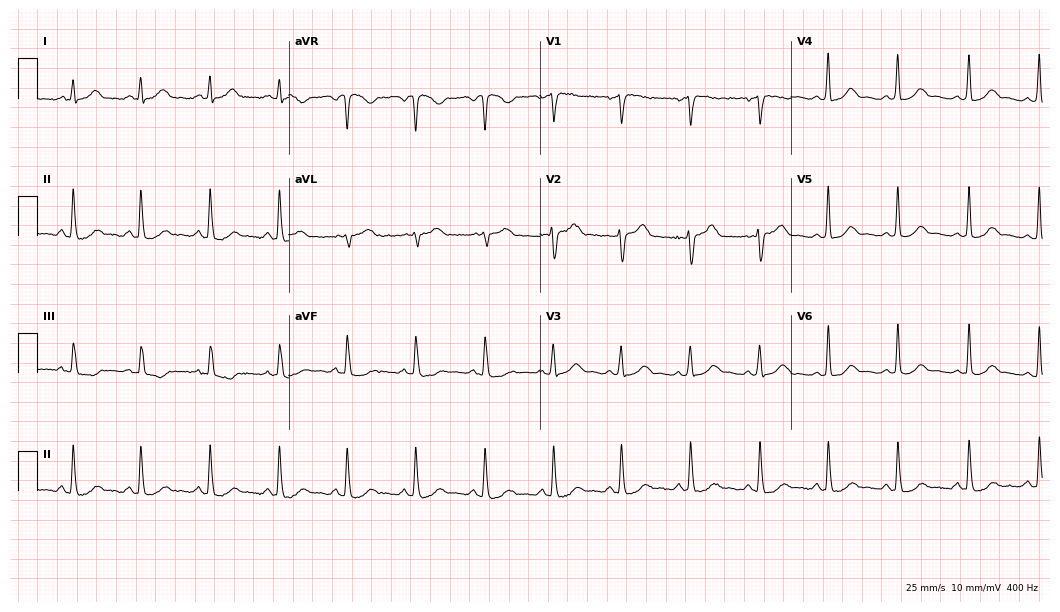
12-lead ECG from a 40-year-old female patient (10.2-second recording at 400 Hz). Recorded interpretation: within normal limits.